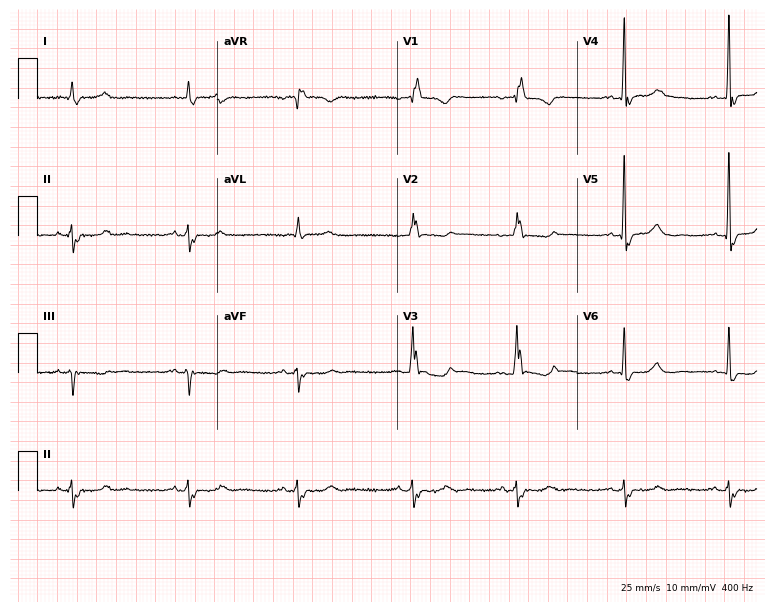
Electrocardiogram, a 70-year-old female patient. Interpretation includes right bundle branch block (RBBB).